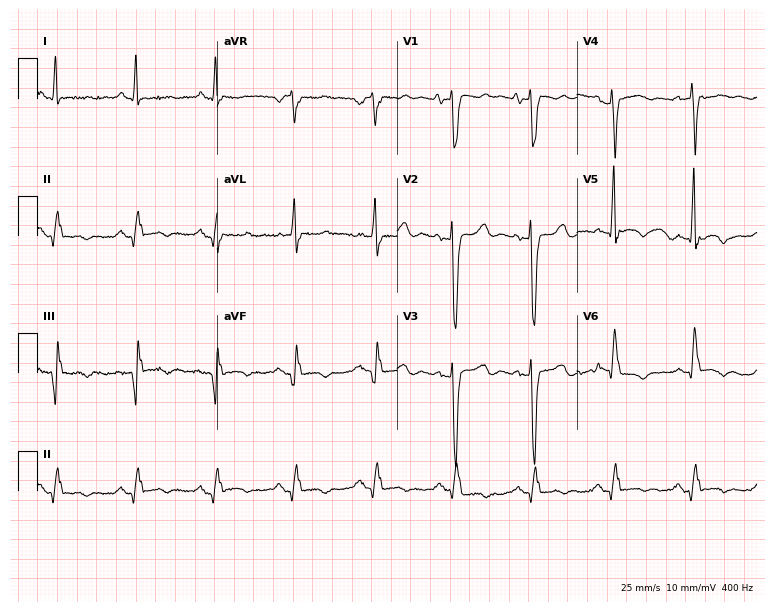
Standard 12-lead ECG recorded from a female patient, 79 years old (7.3-second recording at 400 Hz). The tracing shows left bundle branch block.